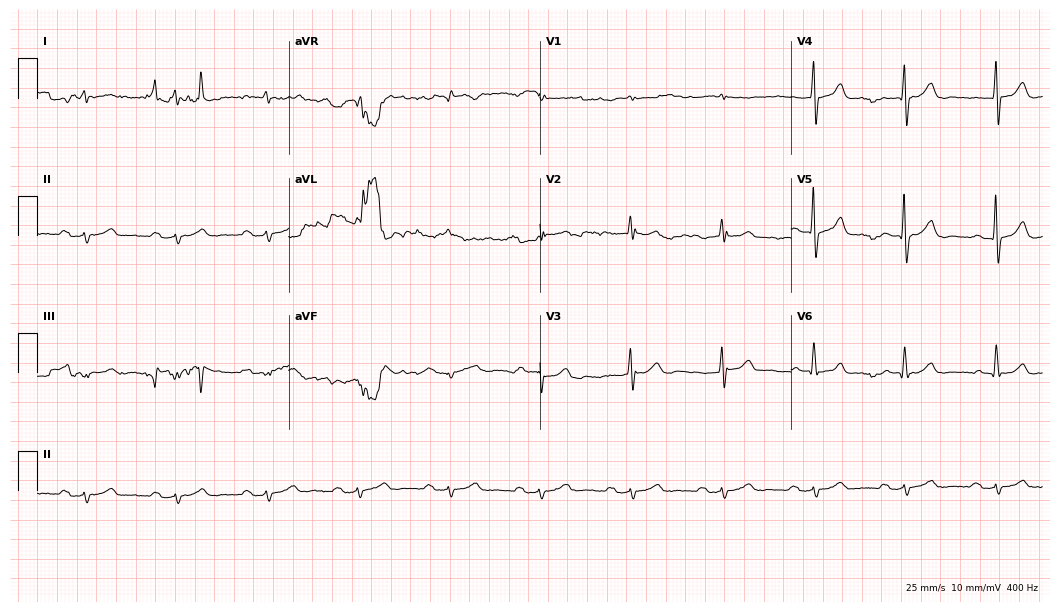
Electrocardiogram (10.2-second recording at 400 Hz), a male, 79 years old. Of the six screened findings (first-degree AV block, right bundle branch block (RBBB), left bundle branch block (LBBB), sinus bradycardia, atrial fibrillation (AF), sinus tachycardia), none is recorded.